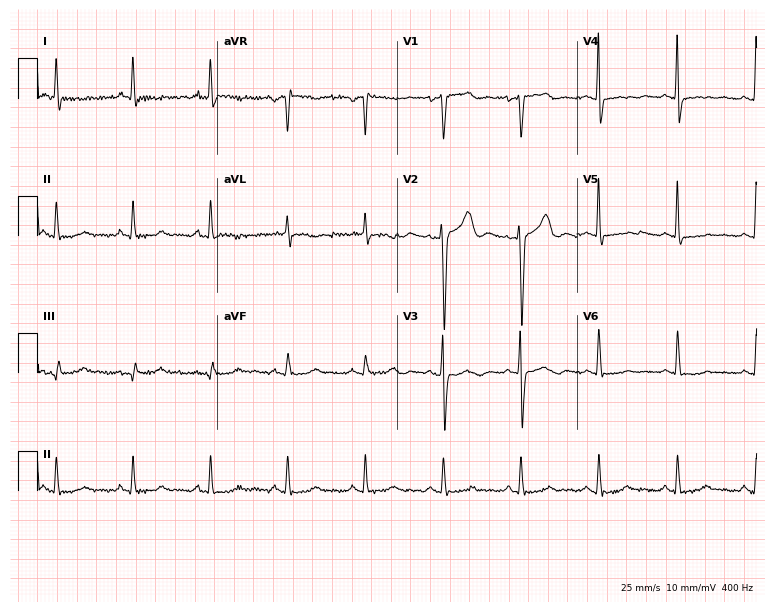
Electrocardiogram (7.3-second recording at 400 Hz), a woman, 66 years old. Of the six screened findings (first-degree AV block, right bundle branch block, left bundle branch block, sinus bradycardia, atrial fibrillation, sinus tachycardia), none is recorded.